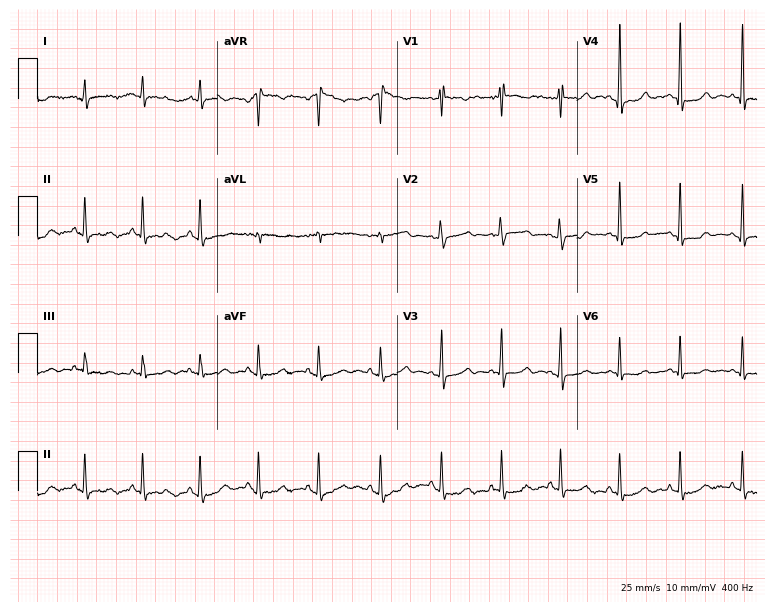
Standard 12-lead ECG recorded from a 33-year-old female patient. None of these six findings is recorded: first-degree AV block, right bundle branch block, left bundle branch block, sinus bradycardia, atrial fibrillation, sinus tachycardia. Findings outside these six are not listed.